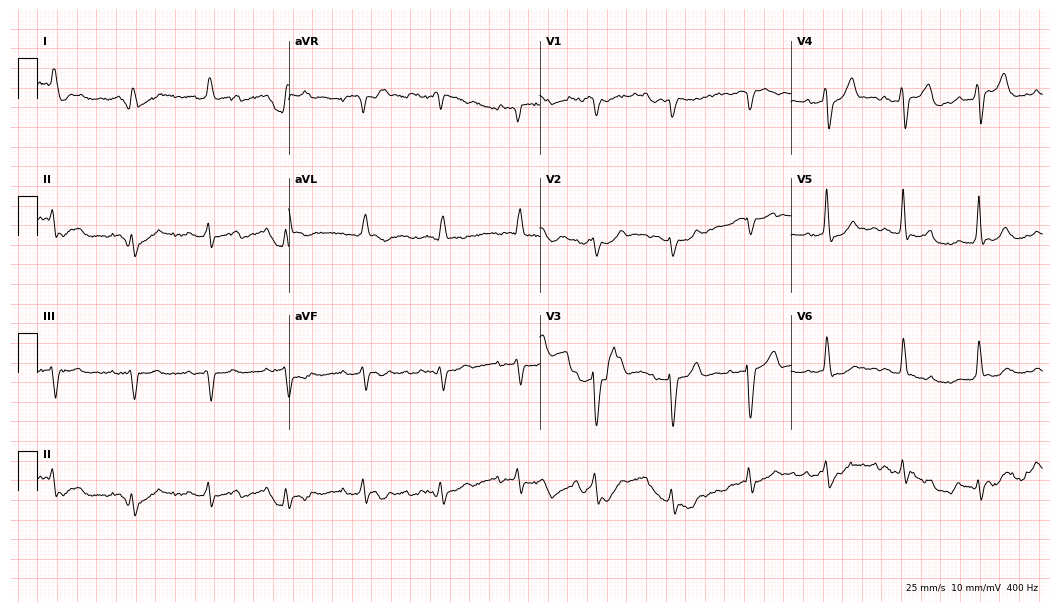
Resting 12-lead electrocardiogram (10.2-second recording at 400 Hz). Patient: a 79-year-old man. None of these six findings is recorded: first-degree AV block, right bundle branch block, left bundle branch block, sinus bradycardia, atrial fibrillation, sinus tachycardia.